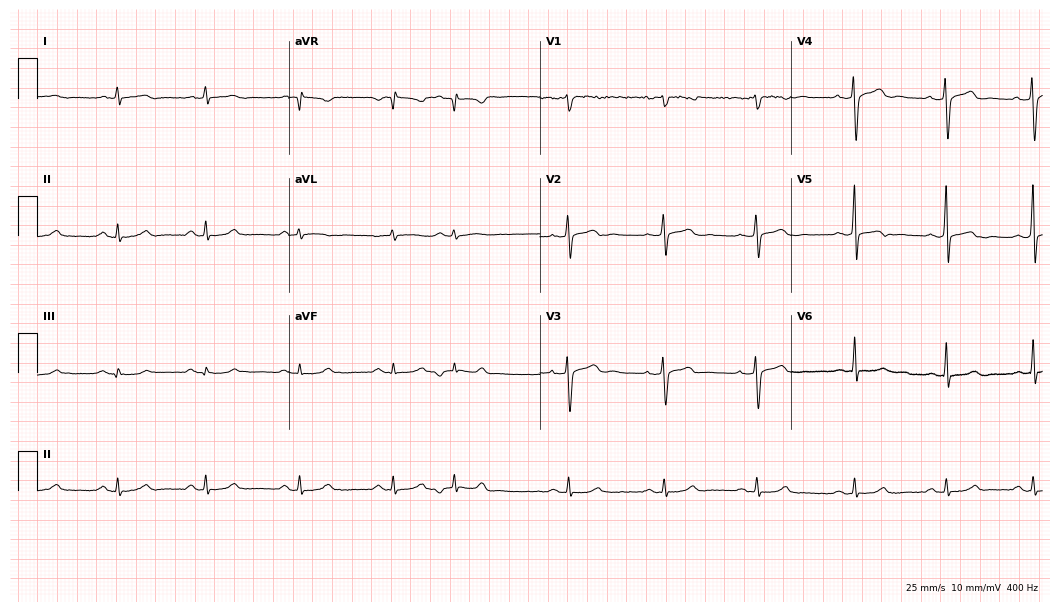
Standard 12-lead ECG recorded from a woman, 30 years old. Read as a normal ECG.